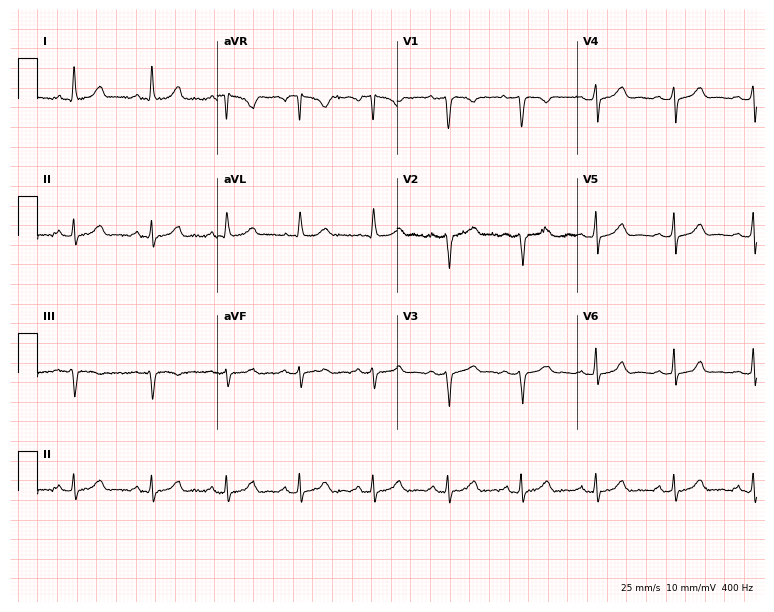
Electrocardiogram (7.3-second recording at 400 Hz), a woman, 38 years old. Of the six screened findings (first-degree AV block, right bundle branch block, left bundle branch block, sinus bradycardia, atrial fibrillation, sinus tachycardia), none is recorded.